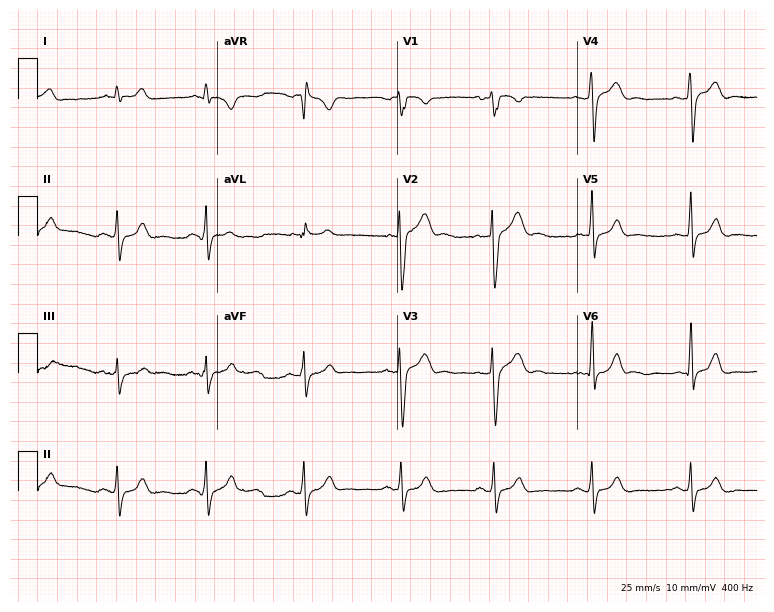
Resting 12-lead electrocardiogram (7.3-second recording at 400 Hz). Patient: a male, 29 years old. Read as a normal ECG.